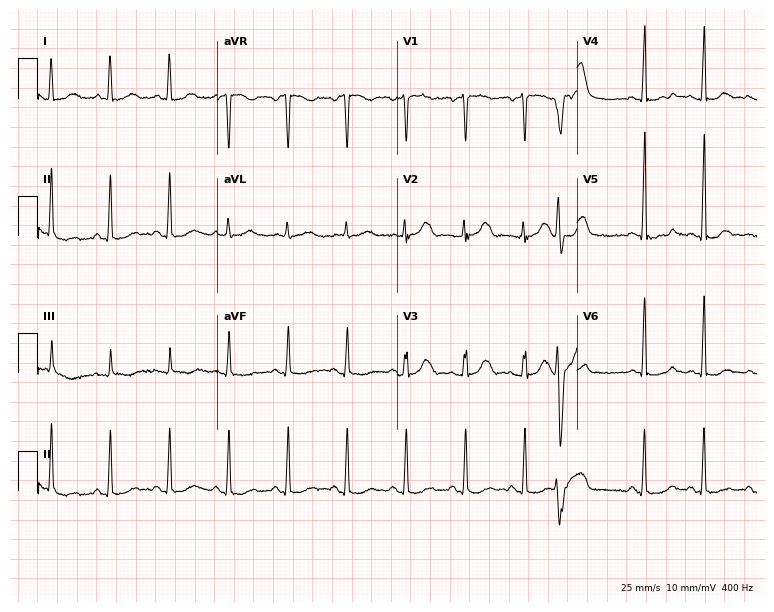
12-lead ECG from a 64-year-old female patient (7.3-second recording at 400 Hz). No first-degree AV block, right bundle branch block (RBBB), left bundle branch block (LBBB), sinus bradycardia, atrial fibrillation (AF) or sinus tachycardia recorded for this tracing.